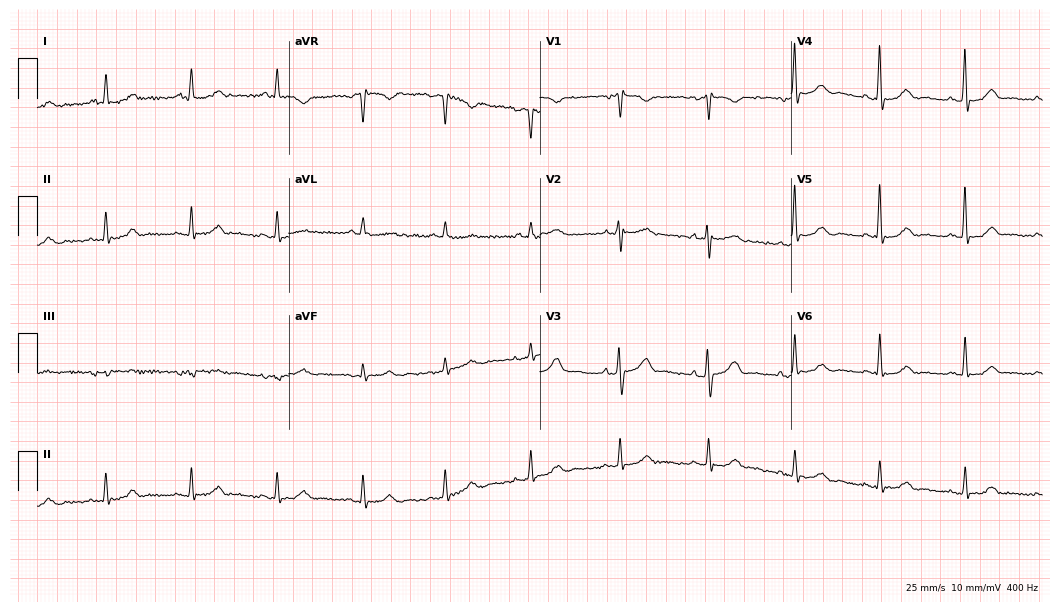
ECG (10.2-second recording at 400 Hz) — a woman, 74 years old. Labelled as a normal ECG.